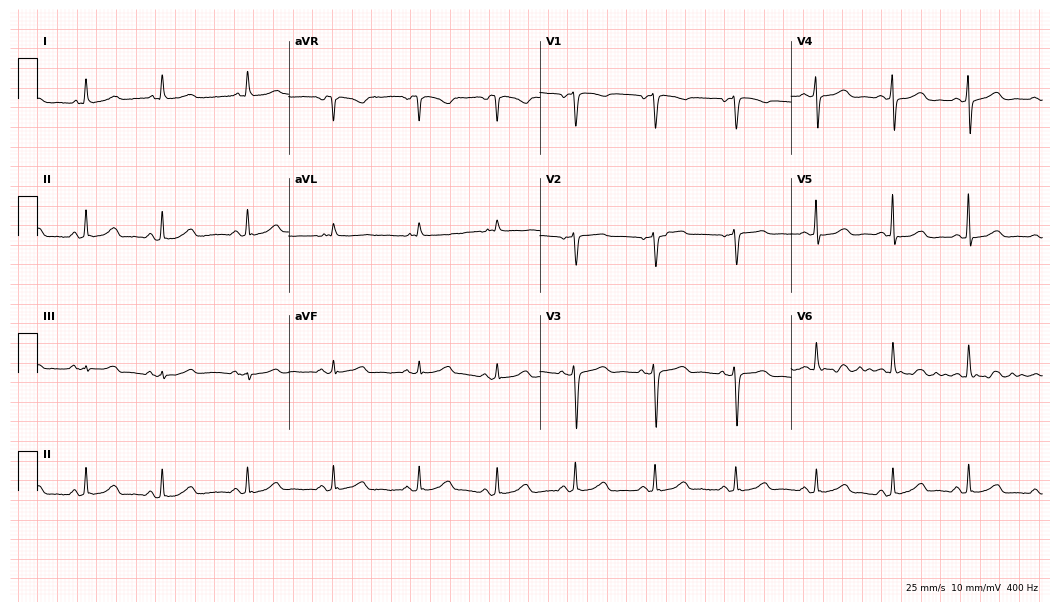
12-lead ECG from a female patient, 58 years old. Recorded interpretation: within normal limits.